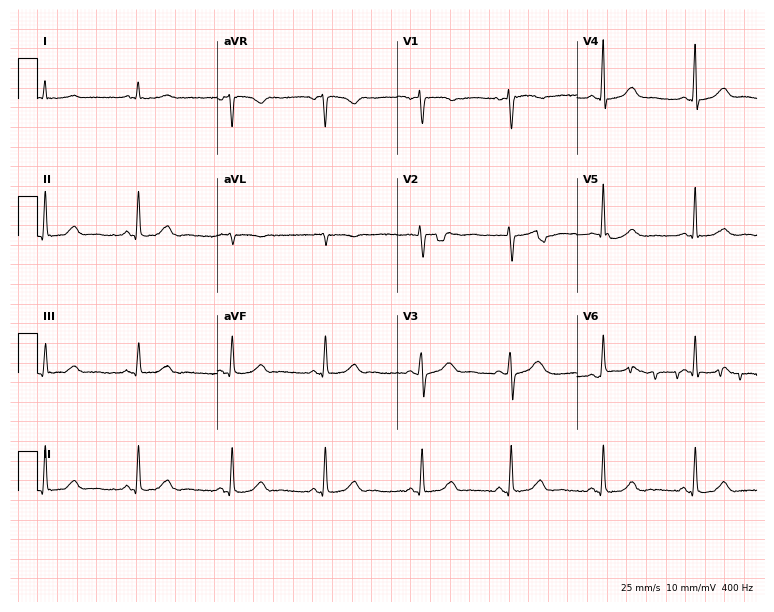
Standard 12-lead ECG recorded from a female, 50 years old. None of these six findings is recorded: first-degree AV block, right bundle branch block, left bundle branch block, sinus bradycardia, atrial fibrillation, sinus tachycardia.